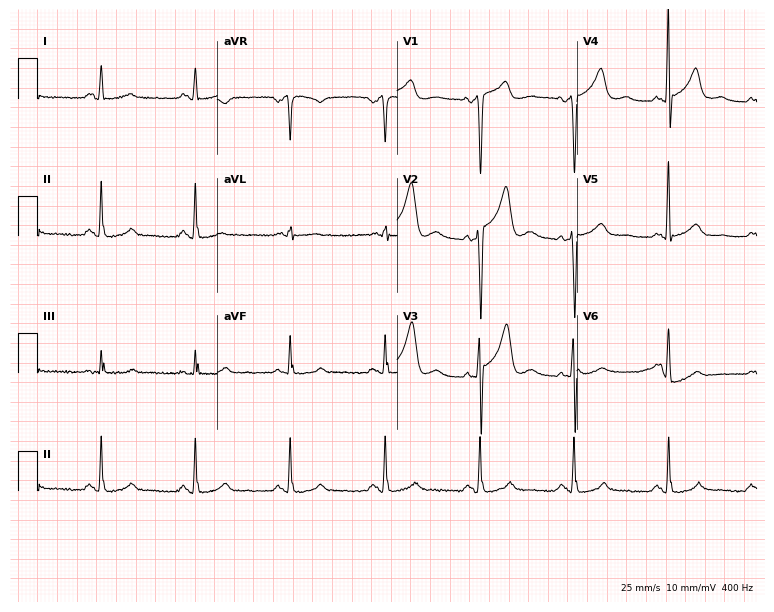
12-lead ECG (7.3-second recording at 400 Hz) from a 68-year-old male patient. Screened for six findings — first-degree AV block, right bundle branch block, left bundle branch block, sinus bradycardia, atrial fibrillation, sinus tachycardia — none is recorded. Findings outside these six are not listed.